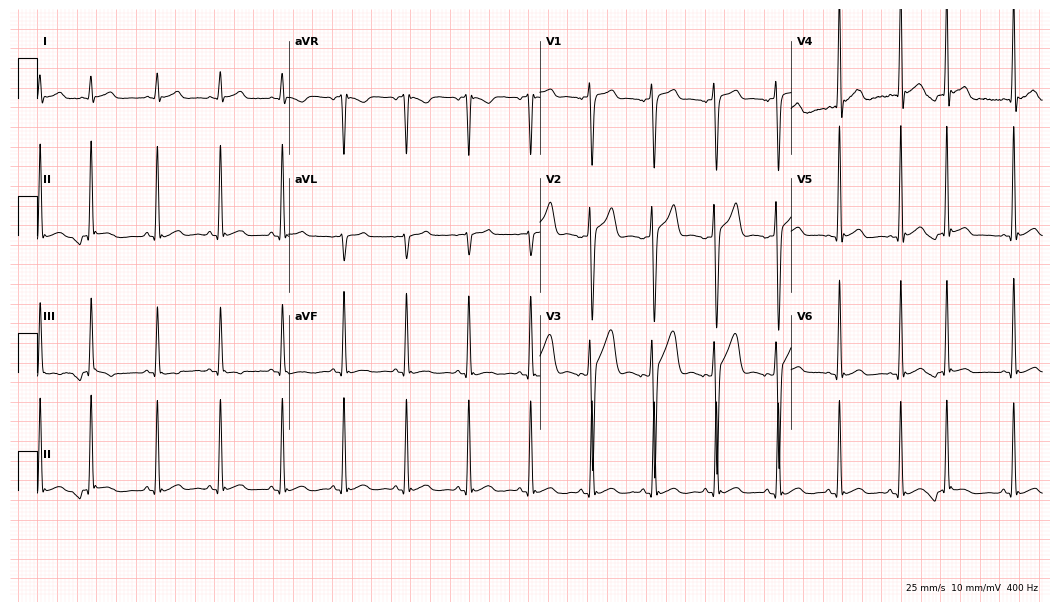
Electrocardiogram, a 19-year-old male patient. Of the six screened findings (first-degree AV block, right bundle branch block, left bundle branch block, sinus bradycardia, atrial fibrillation, sinus tachycardia), none is recorded.